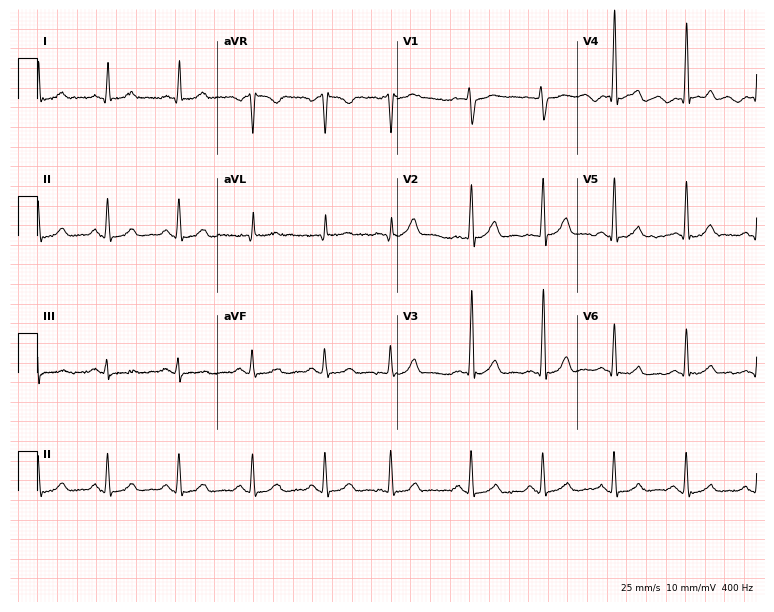
Standard 12-lead ECG recorded from a man, 64 years old (7.3-second recording at 400 Hz). None of these six findings is recorded: first-degree AV block, right bundle branch block (RBBB), left bundle branch block (LBBB), sinus bradycardia, atrial fibrillation (AF), sinus tachycardia.